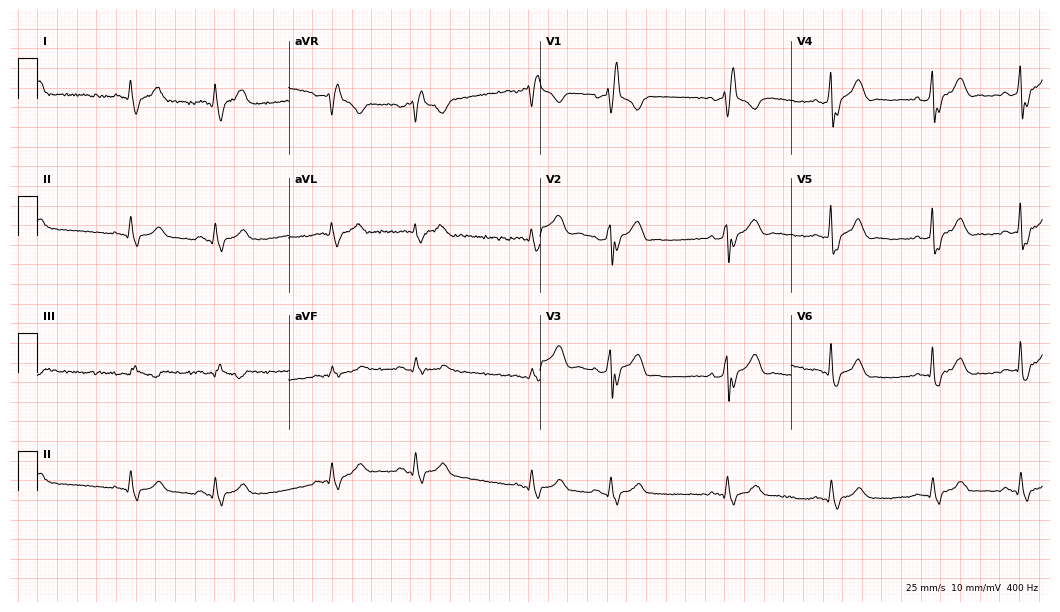
12-lead ECG from a male, 74 years old (10.2-second recording at 400 Hz). Shows right bundle branch block.